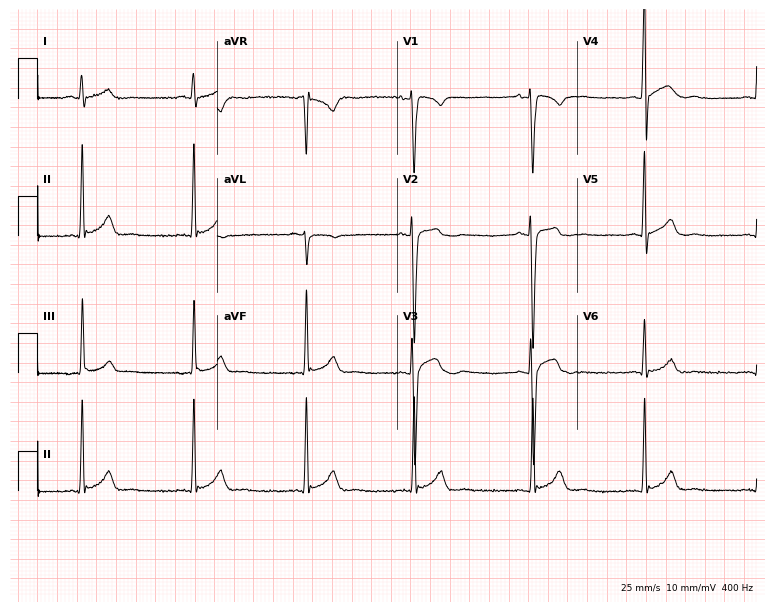
Resting 12-lead electrocardiogram. Patient: a 20-year-old man. None of these six findings is recorded: first-degree AV block, right bundle branch block (RBBB), left bundle branch block (LBBB), sinus bradycardia, atrial fibrillation (AF), sinus tachycardia.